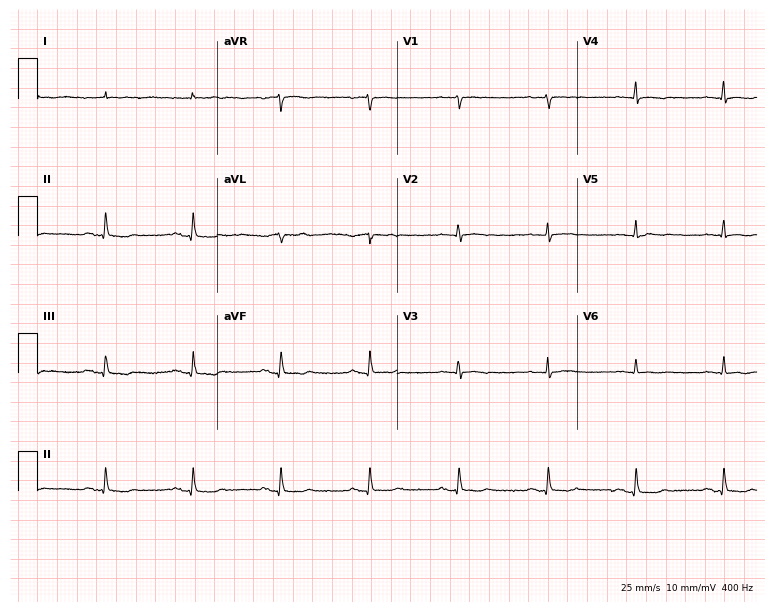
ECG — a 73-year-old woman. Screened for six findings — first-degree AV block, right bundle branch block, left bundle branch block, sinus bradycardia, atrial fibrillation, sinus tachycardia — none is recorded. Only these six findings were labelled.